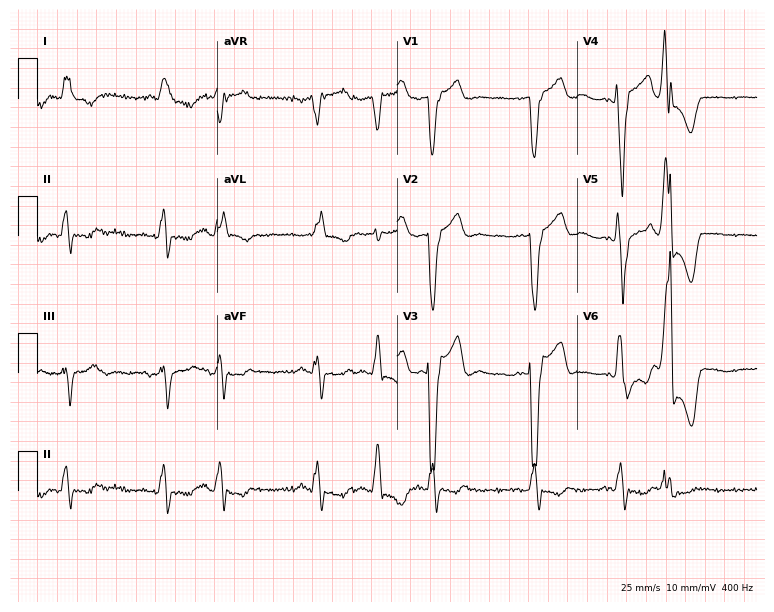
12-lead ECG from a man, 82 years old. Shows left bundle branch block (LBBB).